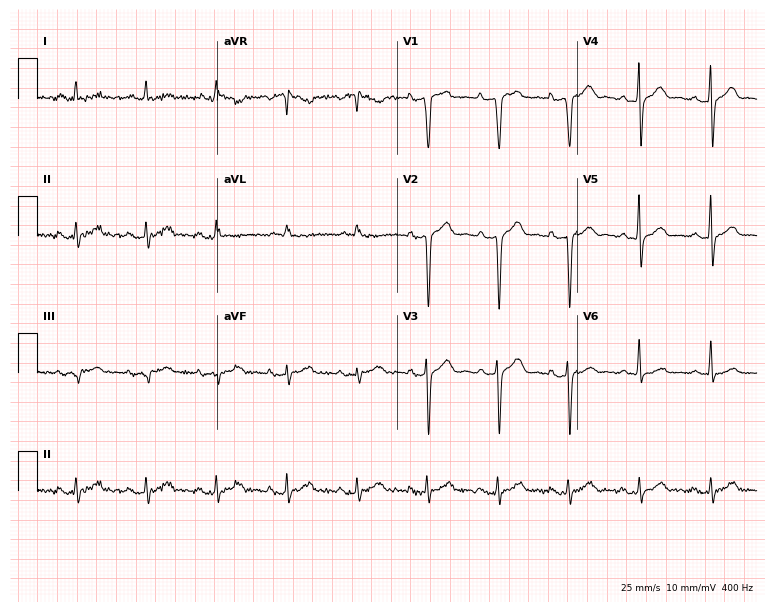
ECG (7.3-second recording at 400 Hz) — a 62-year-old man. Screened for six findings — first-degree AV block, right bundle branch block (RBBB), left bundle branch block (LBBB), sinus bradycardia, atrial fibrillation (AF), sinus tachycardia — none is recorded. Findings outside these six are not listed.